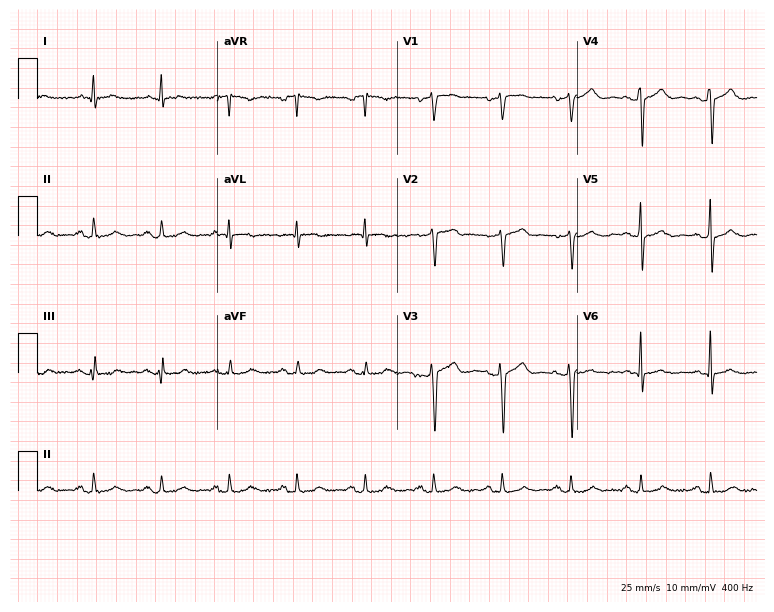
12-lead ECG from a woman, 77 years old (7.3-second recording at 400 Hz). No first-degree AV block, right bundle branch block, left bundle branch block, sinus bradycardia, atrial fibrillation or sinus tachycardia recorded for this tracing. Only these six findings were labelled.